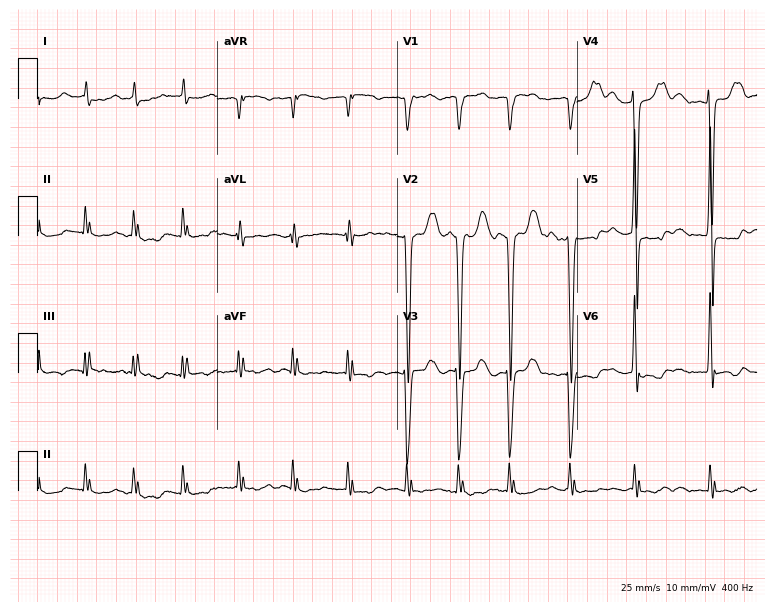
Standard 12-lead ECG recorded from an 80-year-old female (7.3-second recording at 400 Hz). The tracing shows atrial fibrillation.